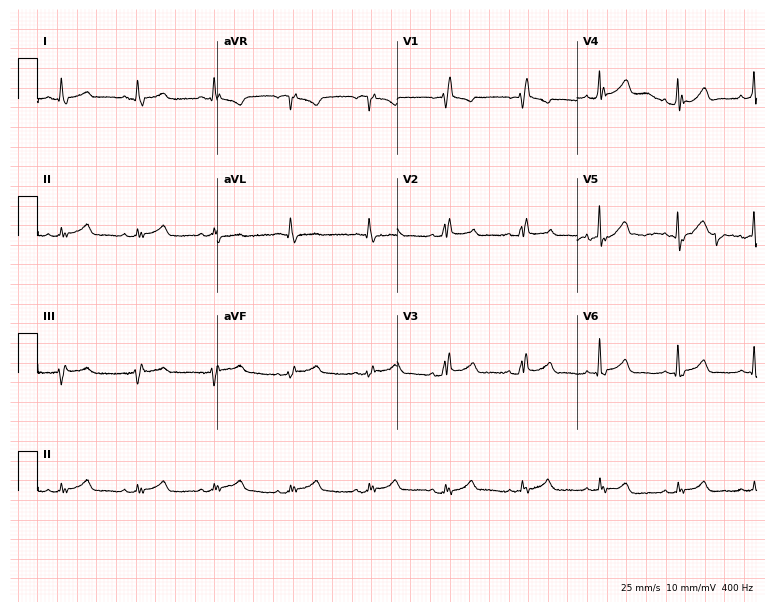
12-lead ECG from an 82-year-old man. Screened for six findings — first-degree AV block, right bundle branch block, left bundle branch block, sinus bradycardia, atrial fibrillation, sinus tachycardia — none is recorded.